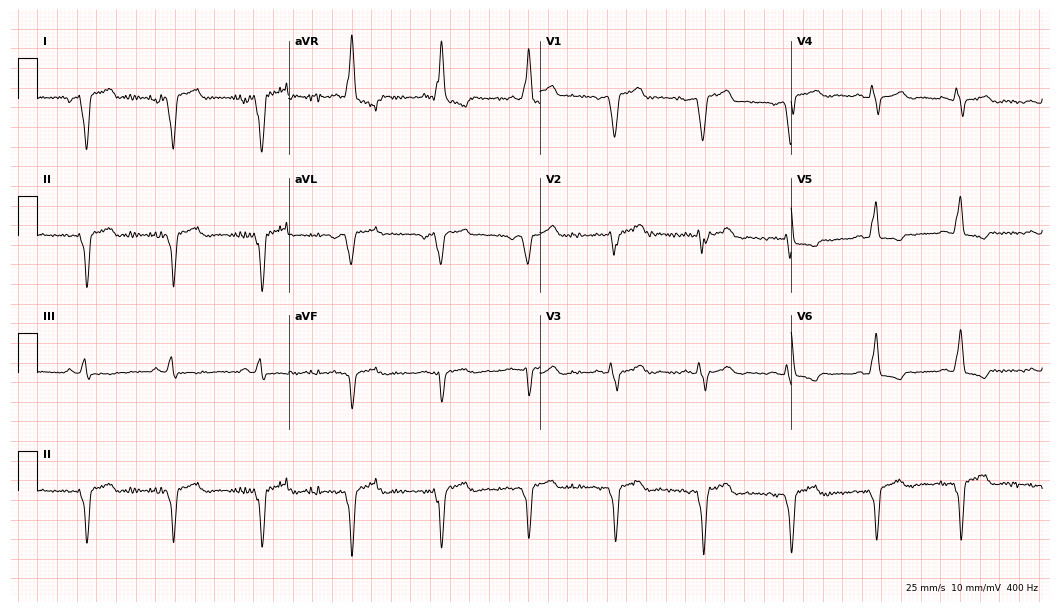
12-lead ECG from a male, 60 years old (10.2-second recording at 400 Hz). No first-degree AV block, right bundle branch block, left bundle branch block, sinus bradycardia, atrial fibrillation or sinus tachycardia recorded for this tracing.